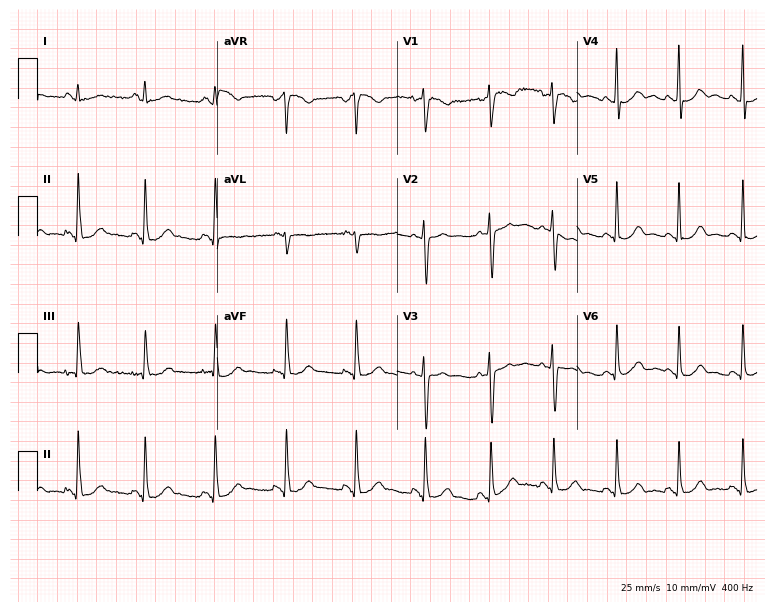
12-lead ECG from a 27-year-old female (7.3-second recording at 400 Hz). Recorded interpretation: within normal limits.